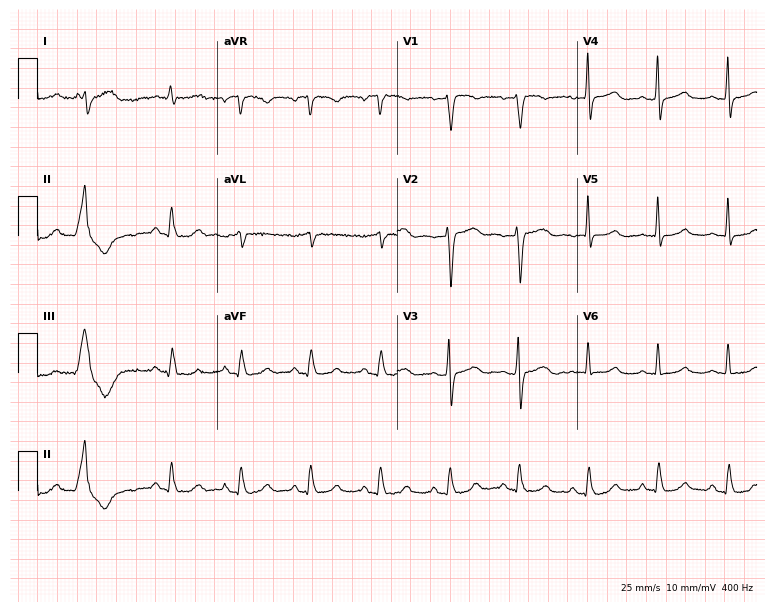
Standard 12-lead ECG recorded from a female patient, 30 years old. Read as a normal ECG.